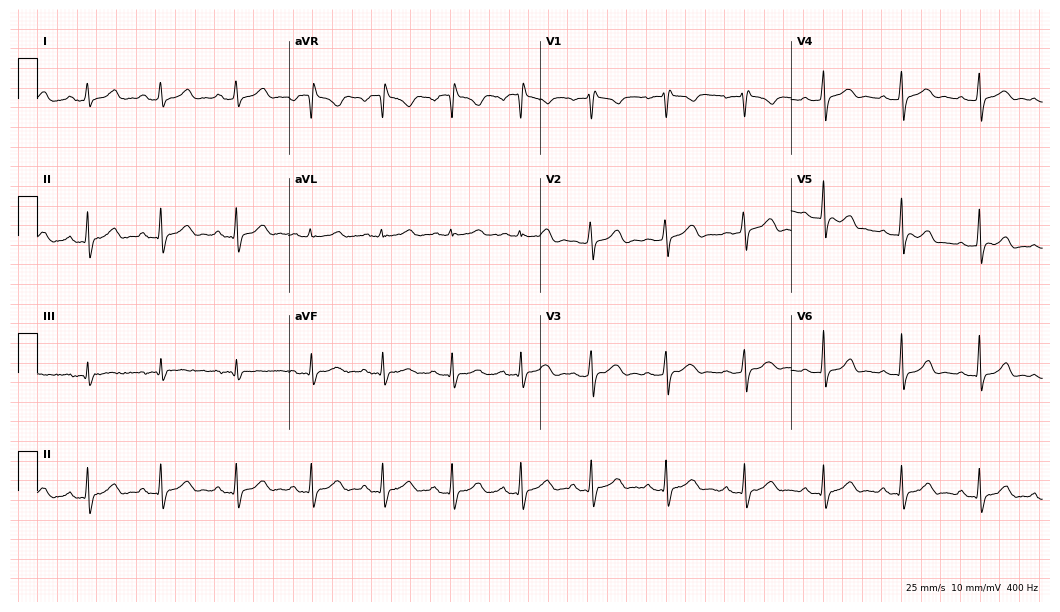
Standard 12-lead ECG recorded from a woman, 26 years old (10.2-second recording at 400 Hz). None of these six findings is recorded: first-degree AV block, right bundle branch block (RBBB), left bundle branch block (LBBB), sinus bradycardia, atrial fibrillation (AF), sinus tachycardia.